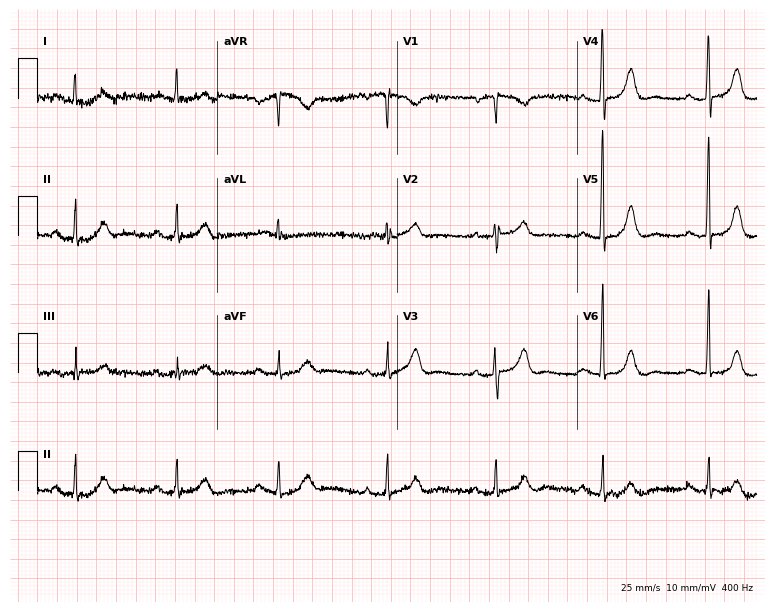
Resting 12-lead electrocardiogram. Patient: a female, 80 years old. The tracing shows first-degree AV block.